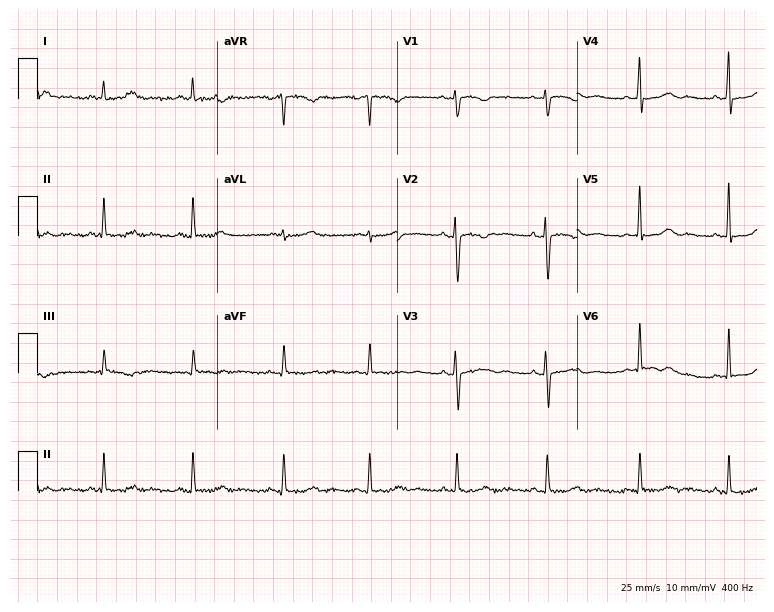
Electrocardiogram (7.3-second recording at 400 Hz), a woman, 25 years old. Of the six screened findings (first-degree AV block, right bundle branch block (RBBB), left bundle branch block (LBBB), sinus bradycardia, atrial fibrillation (AF), sinus tachycardia), none is recorded. Only these six findings were labelled.